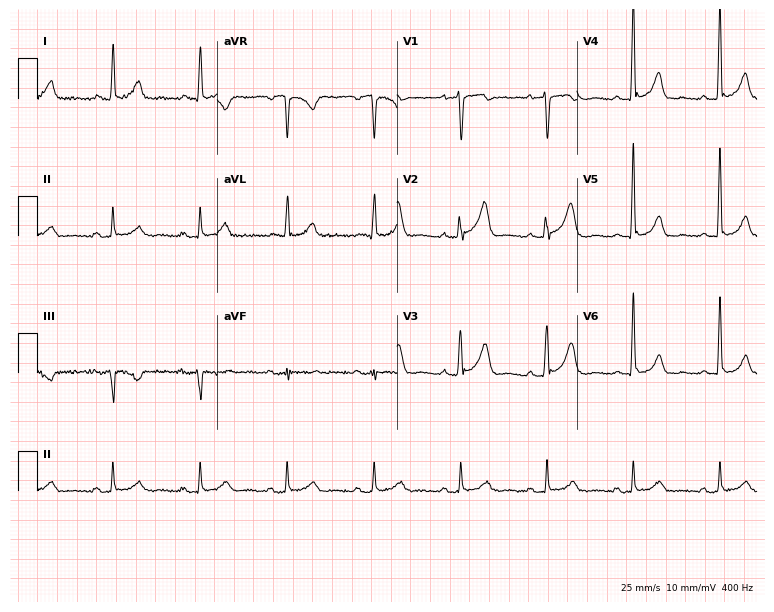
12-lead ECG from a female, 81 years old. No first-degree AV block, right bundle branch block, left bundle branch block, sinus bradycardia, atrial fibrillation or sinus tachycardia recorded for this tracing. Other findings, if any, are not listed.